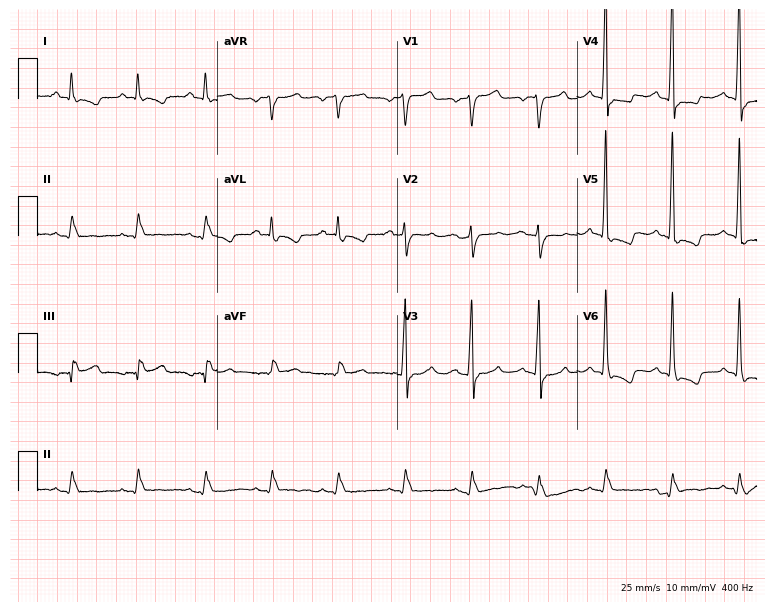
12-lead ECG from a 56-year-old male patient (7.3-second recording at 400 Hz). No first-degree AV block, right bundle branch block (RBBB), left bundle branch block (LBBB), sinus bradycardia, atrial fibrillation (AF) or sinus tachycardia recorded for this tracing.